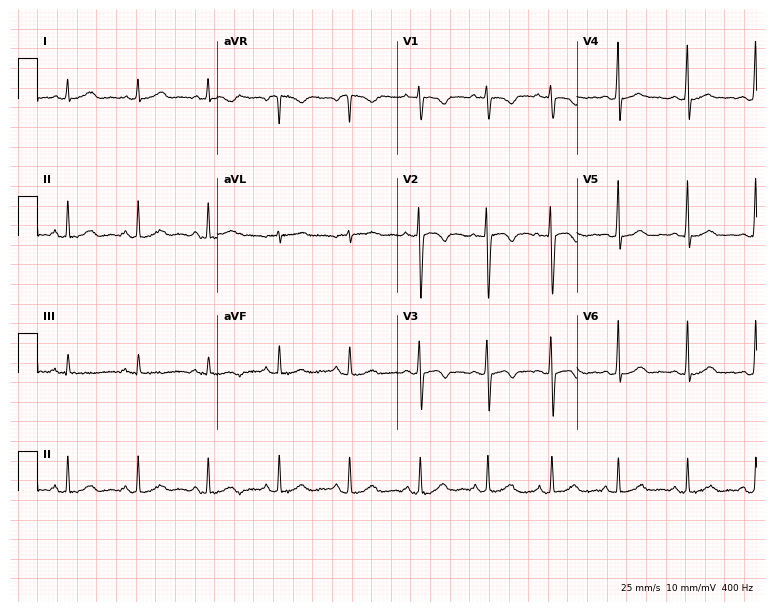
12-lead ECG from a female patient, 36 years old. No first-degree AV block, right bundle branch block, left bundle branch block, sinus bradycardia, atrial fibrillation or sinus tachycardia recorded for this tracing. Other findings, if any, are not listed.